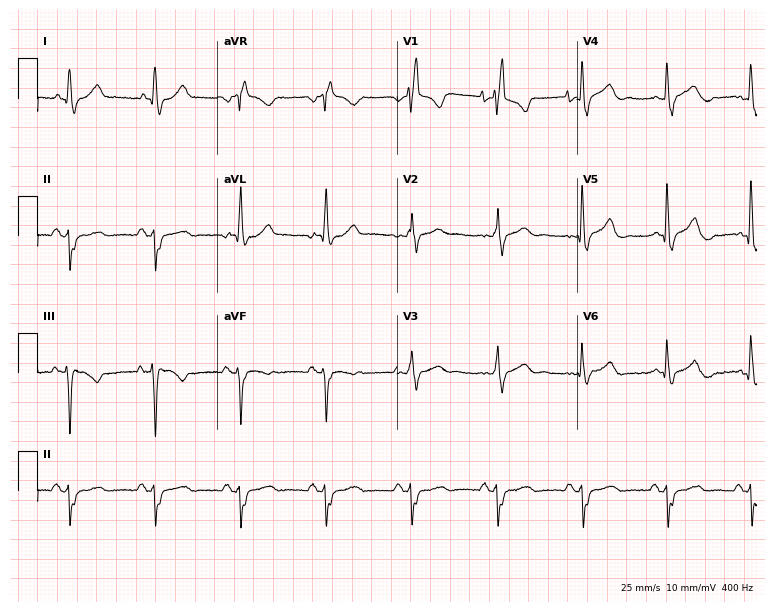
Resting 12-lead electrocardiogram. Patient: a 54-year-old man. The tracing shows right bundle branch block.